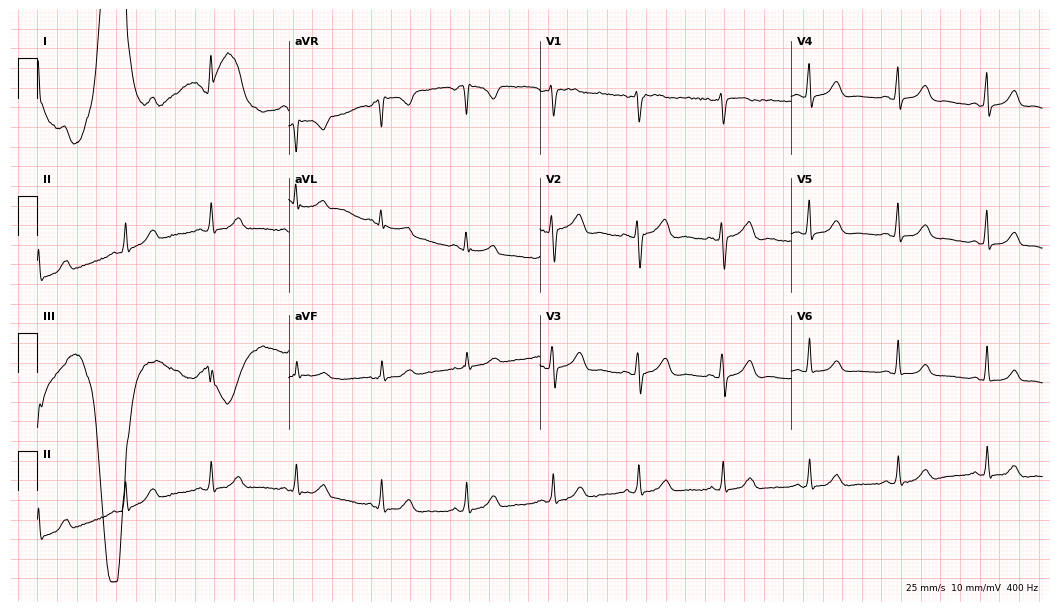
ECG (10.2-second recording at 400 Hz) — a 51-year-old female. Screened for six findings — first-degree AV block, right bundle branch block, left bundle branch block, sinus bradycardia, atrial fibrillation, sinus tachycardia — none is recorded. Only these six findings were labelled.